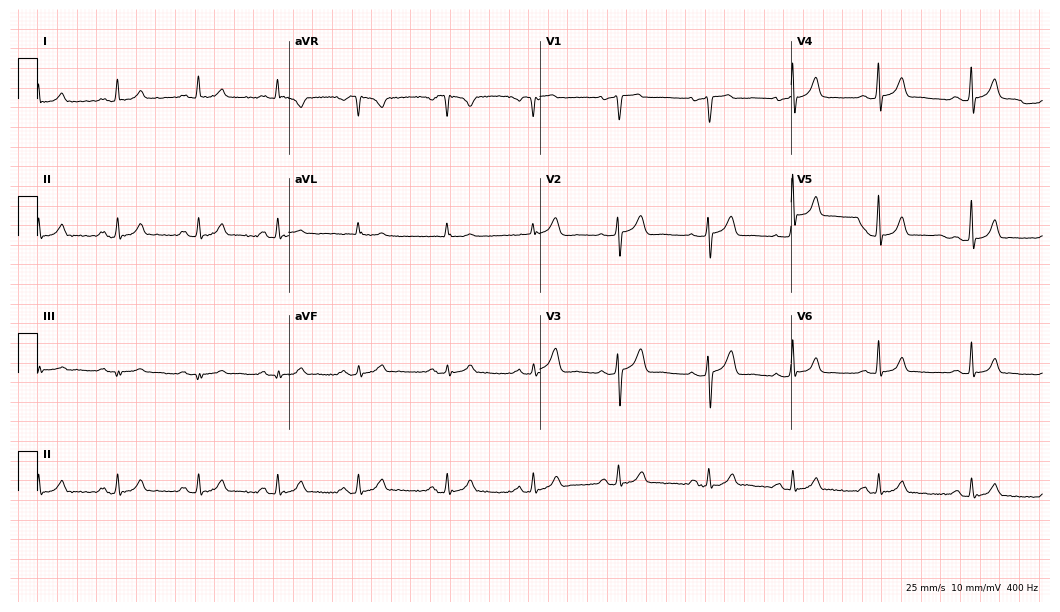
Electrocardiogram, a woman, 42 years old. Overall reading on record: normal ECG.